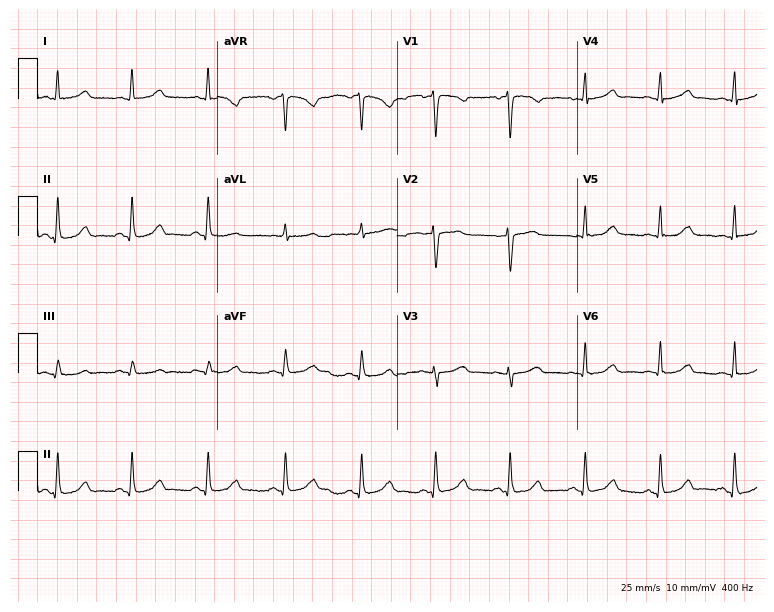
Electrocardiogram, a 42-year-old female. Overall reading on record: normal ECG.